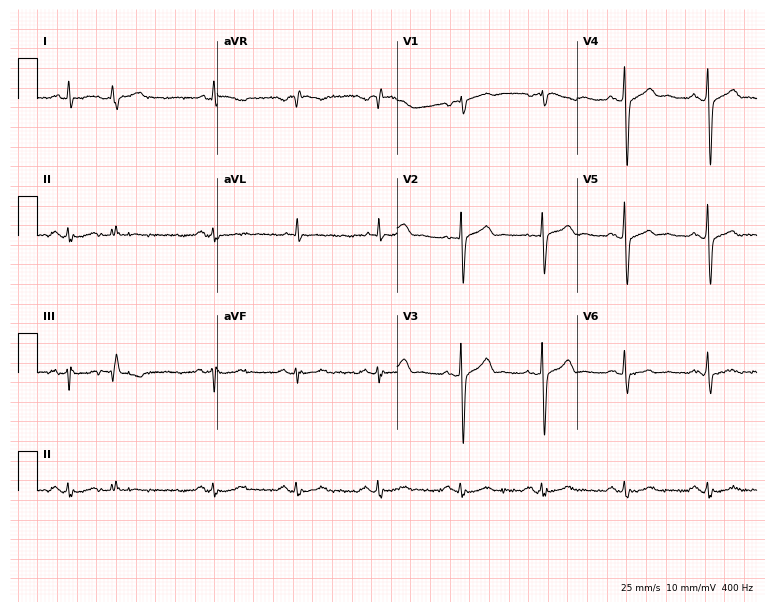
Standard 12-lead ECG recorded from a male patient, 82 years old (7.3-second recording at 400 Hz). None of these six findings is recorded: first-degree AV block, right bundle branch block (RBBB), left bundle branch block (LBBB), sinus bradycardia, atrial fibrillation (AF), sinus tachycardia.